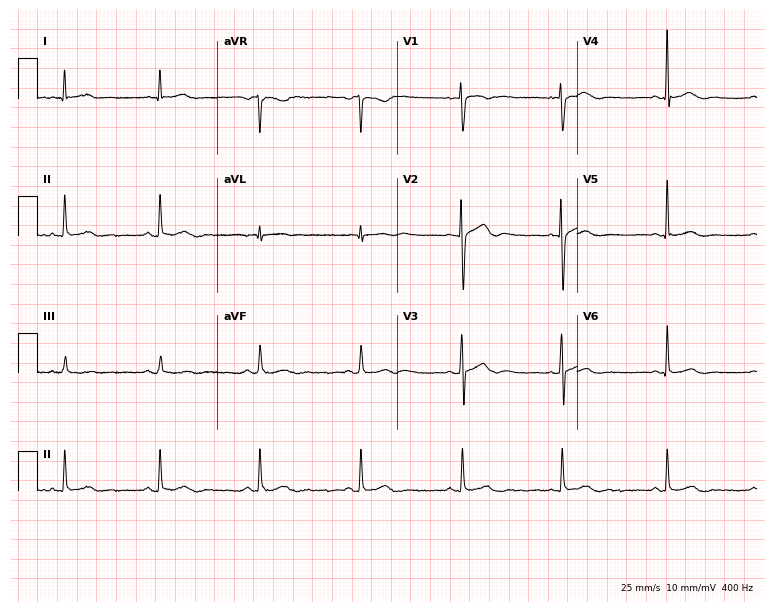
ECG — a 17-year-old male. Screened for six findings — first-degree AV block, right bundle branch block, left bundle branch block, sinus bradycardia, atrial fibrillation, sinus tachycardia — none is recorded.